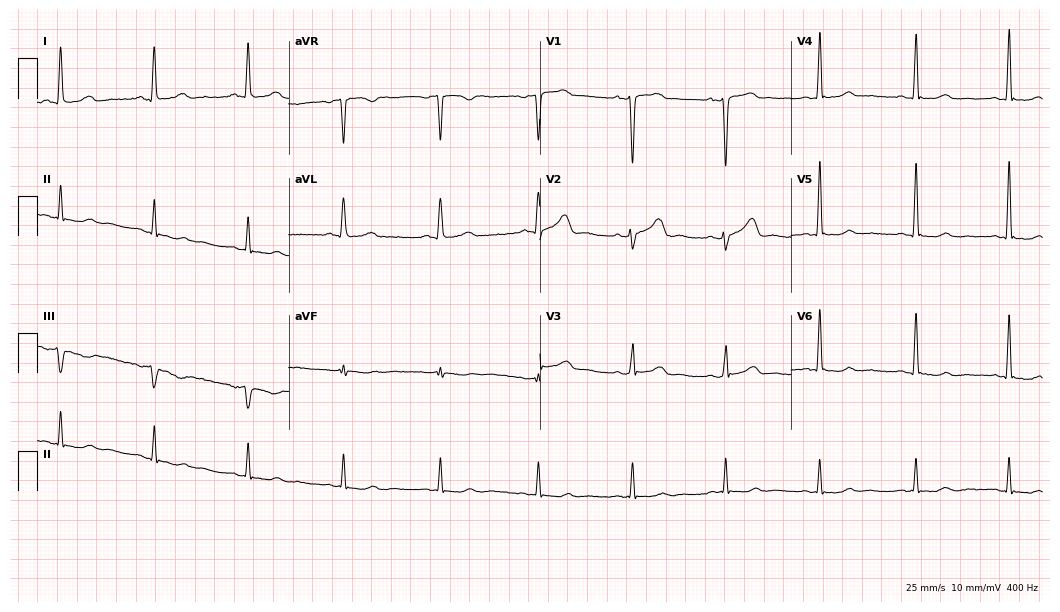
Standard 12-lead ECG recorded from a female patient, 58 years old. None of these six findings is recorded: first-degree AV block, right bundle branch block (RBBB), left bundle branch block (LBBB), sinus bradycardia, atrial fibrillation (AF), sinus tachycardia.